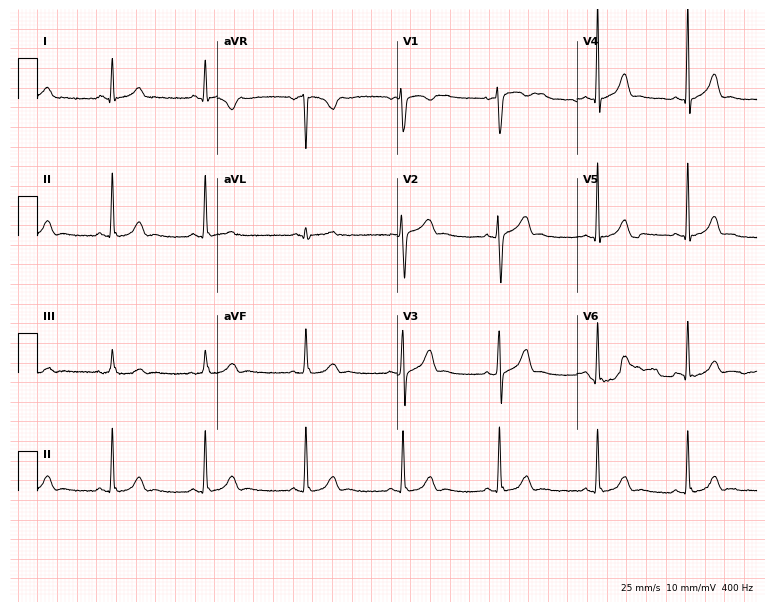
12-lead ECG from a 22-year-old female patient. Screened for six findings — first-degree AV block, right bundle branch block, left bundle branch block, sinus bradycardia, atrial fibrillation, sinus tachycardia — none is recorded.